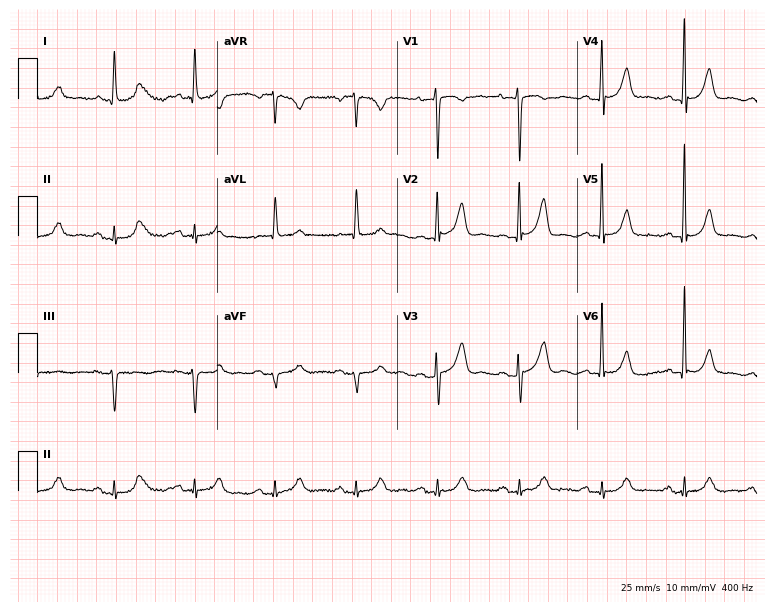
Resting 12-lead electrocardiogram (7.3-second recording at 400 Hz). Patient: an 80-year-old woman. Read as a normal ECG.